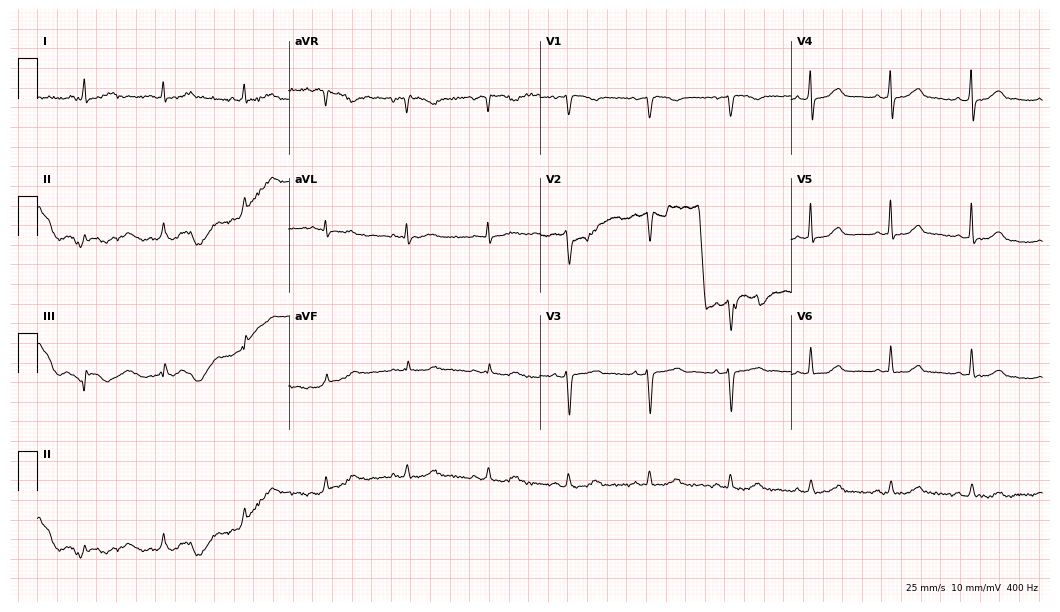
ECG (10.2-second recording at 400 Hz) — a 51-year-old woman. Labelled as a normal ECG.